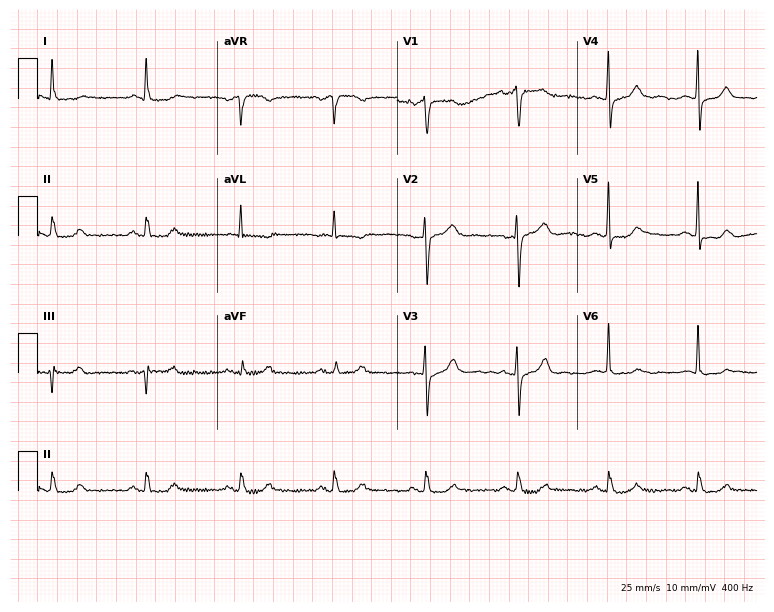
Standard 12-lead ECG recorded from an 82-year-old male. None of these six findings is recorded: first-degree AV block, right bundle branch block, left bundle branch block, sinus bradycardia, atrial fibrillation, sinus tachycardia. Only these six findings were labelled.